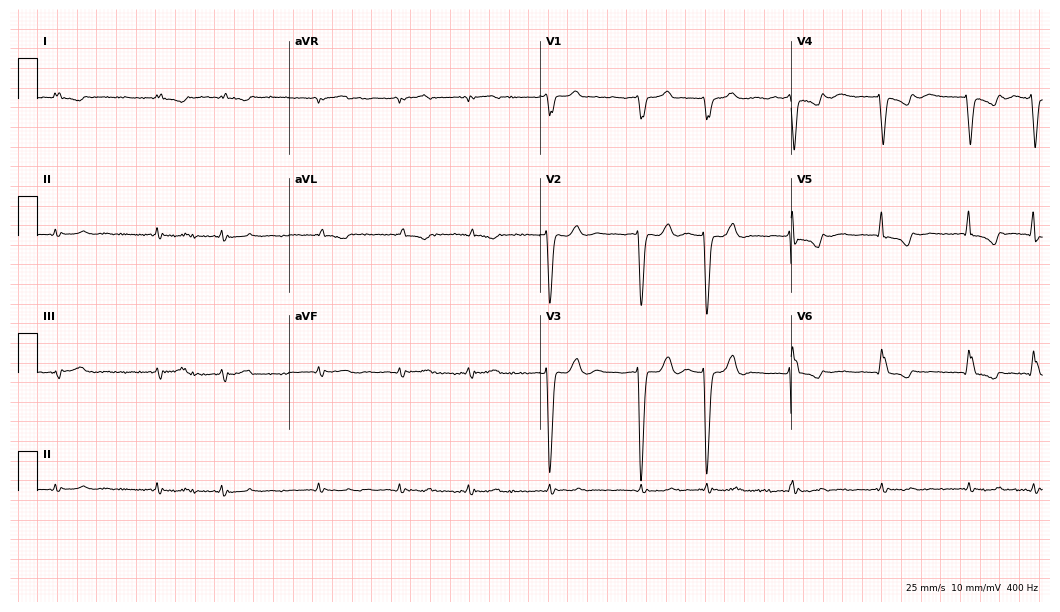
12-lead ECG (10.2-second recording at 400 Hz) from an 82-year-old man. Findings include left bundle branch block, atrial fibrillation.